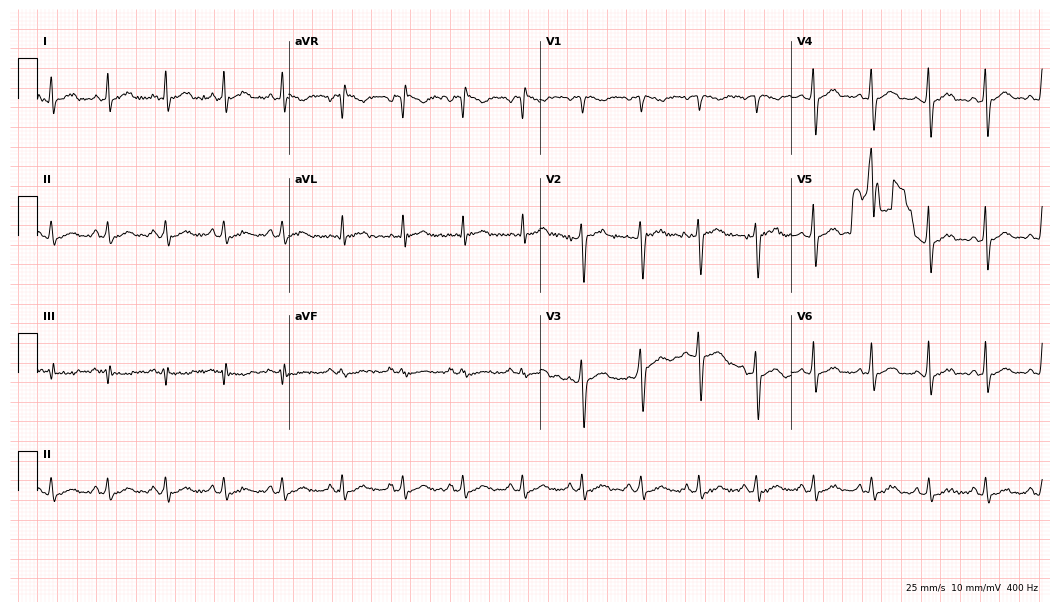
Standard 12-lead ECG recorded from a male patient, 26 years old. None of these six findings is recorded: first-degree AV block, right bundle branch block, left bundle branch block, sinus bradycardia, atrial fibrillation, sinus tachycardia. Only these six findings were labelled.